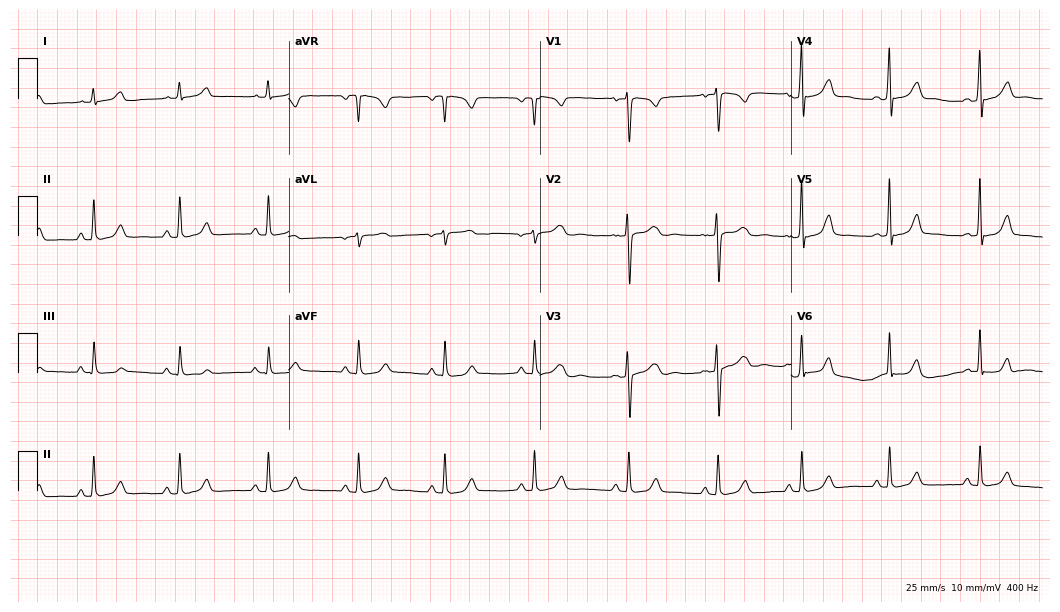
12-lead ECG from a female, 27 years old (10.2-second recording at 400 Hz). Recorded interpretation: within normal limits.